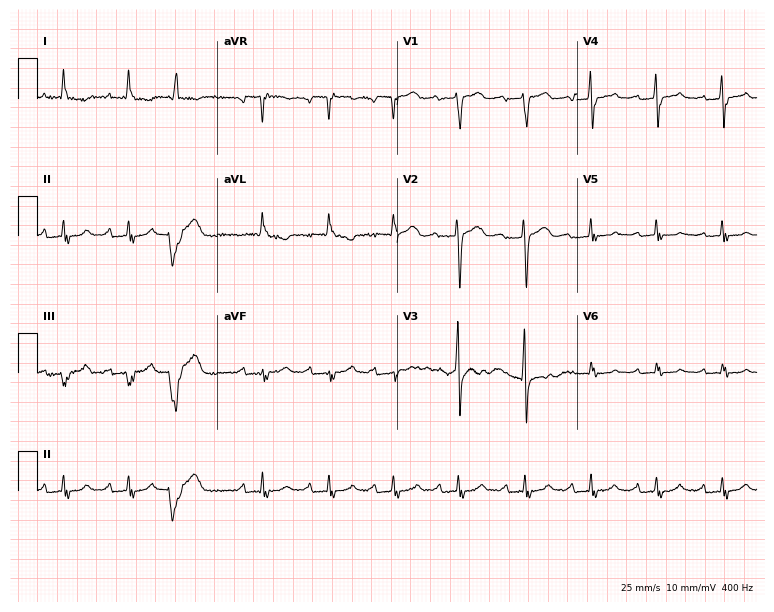
12-lead ECG (7.3-second recording at 400 Hz) from a woman, 82 years old. Findings include first-degree AV block.